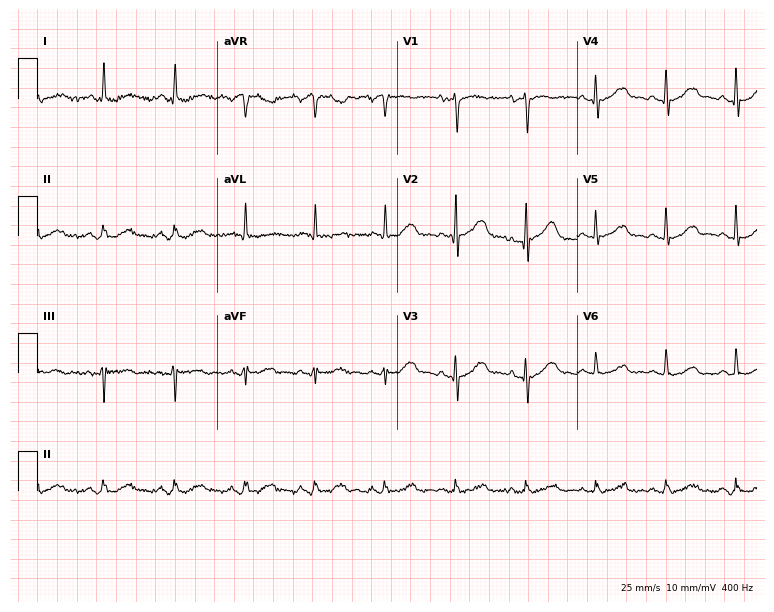
12-lead ECG from a 76-year-old woman (7.3-second recording at 400 Hz). Recorded interpretation: within normal limits.